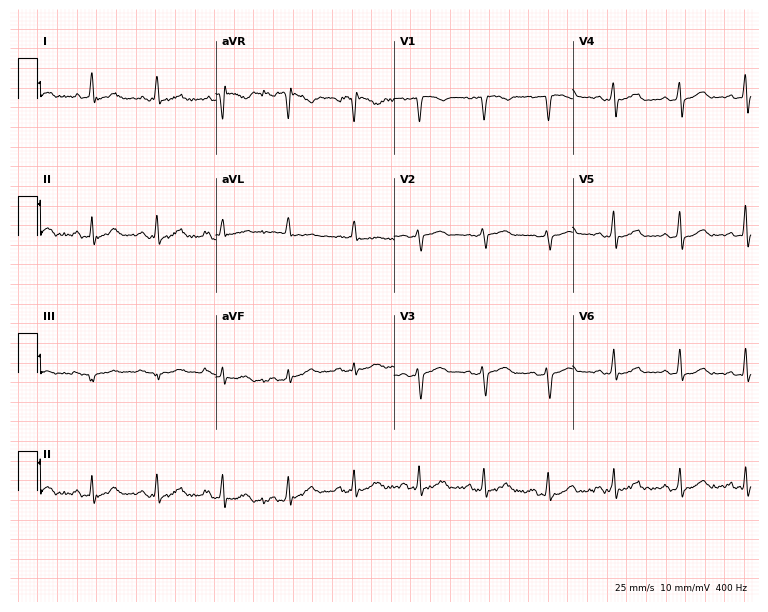
ECG — a 34-year-old female patient. Labelled as a normal ECG.